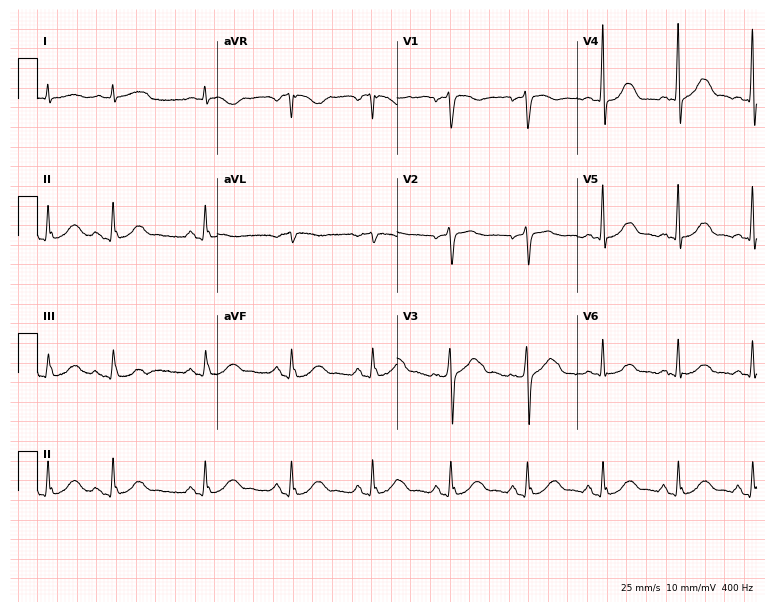
12-lead ECG from a male, 56 years old. Screened for six findings — first-degree AV block, right bundle branch block, left bundle branch block, sinus bradycardia, atrial fibrillation, sinus tachycardia — none is recorded.